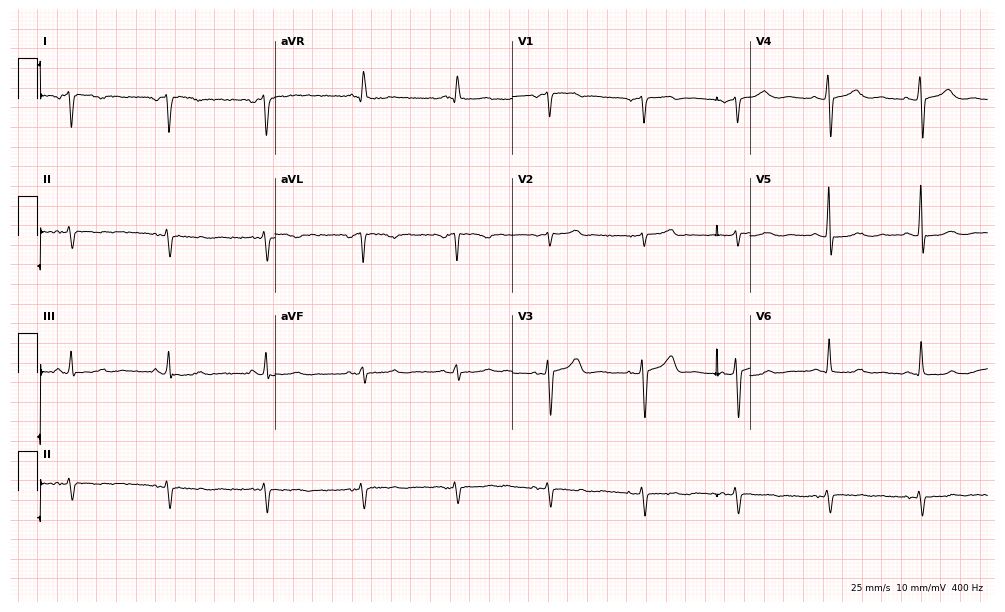
12-lead ECG (9.7-second recording at 400 Hz) from a 49-year-old woman. Screened for six findings — first-degree AV block, right bundle branch block, left bundle branch block, sinus bradycardia, atrial fibrillation, sinus tachycardia — none is recorded.